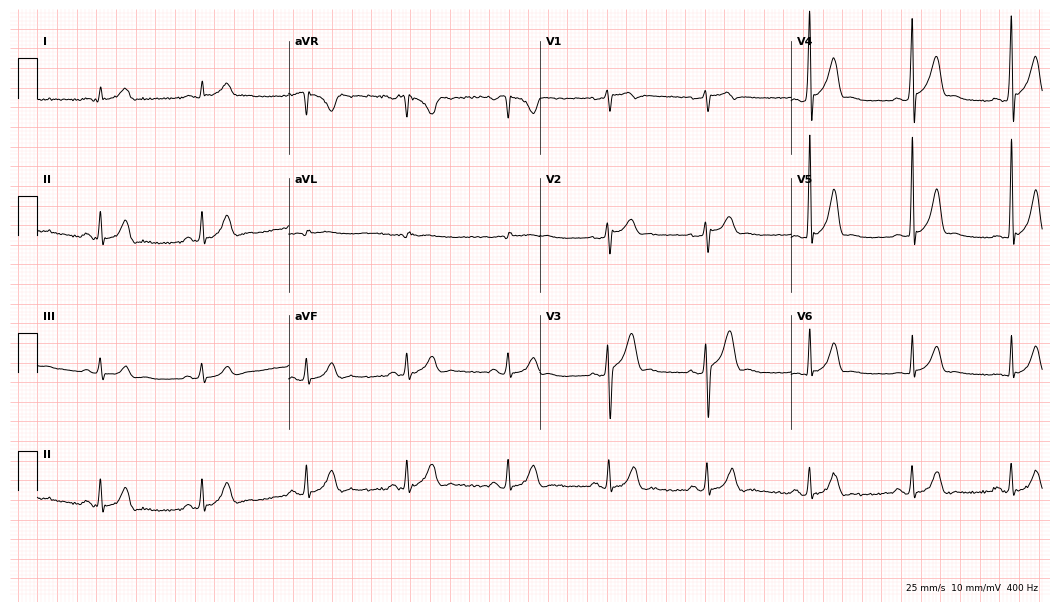
ECG (10.2-second recording at 400 Hz) — a 40-year-old male. Labelled as a normal ECG.